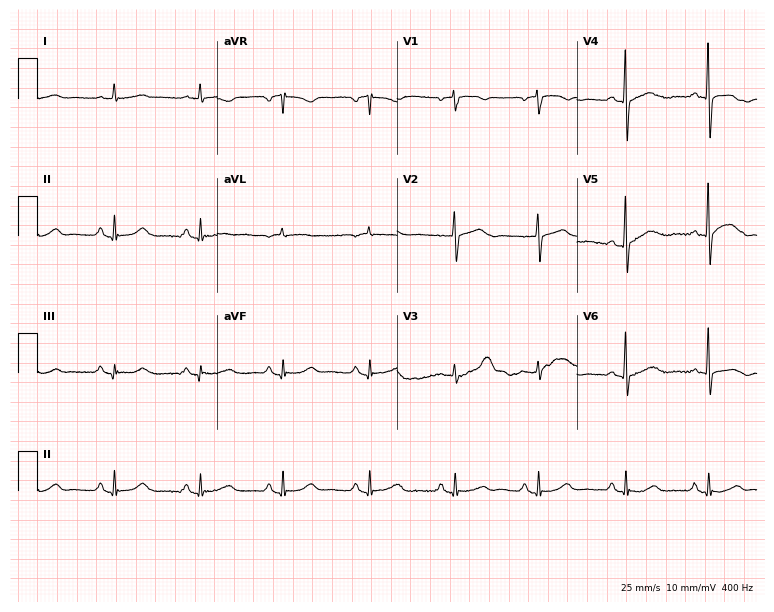
Resting 12-lead electrocardiogram. Patient: a female, 66 years old. Read as a normal ECG.